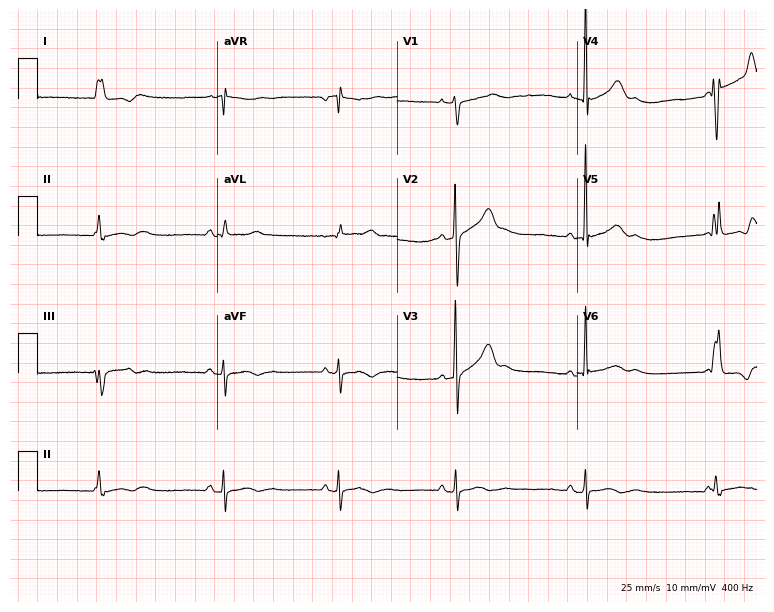
12-lead ECG from a male patient, 54 years old (7.3-second recording at 400 Hz). Shows sinus bradycardia (a sinus rate of 50 beats per minute or less).